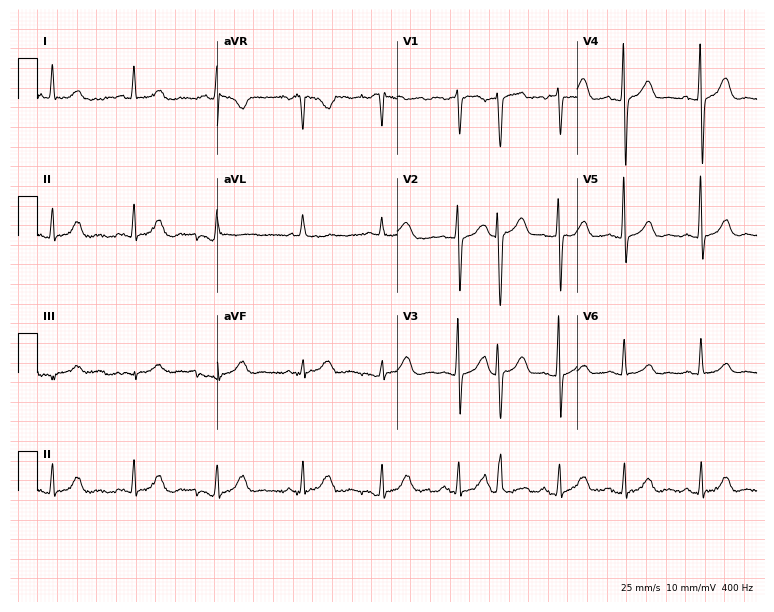
ECG — a female patient, 65 years old. Labelled as a normal ECG.